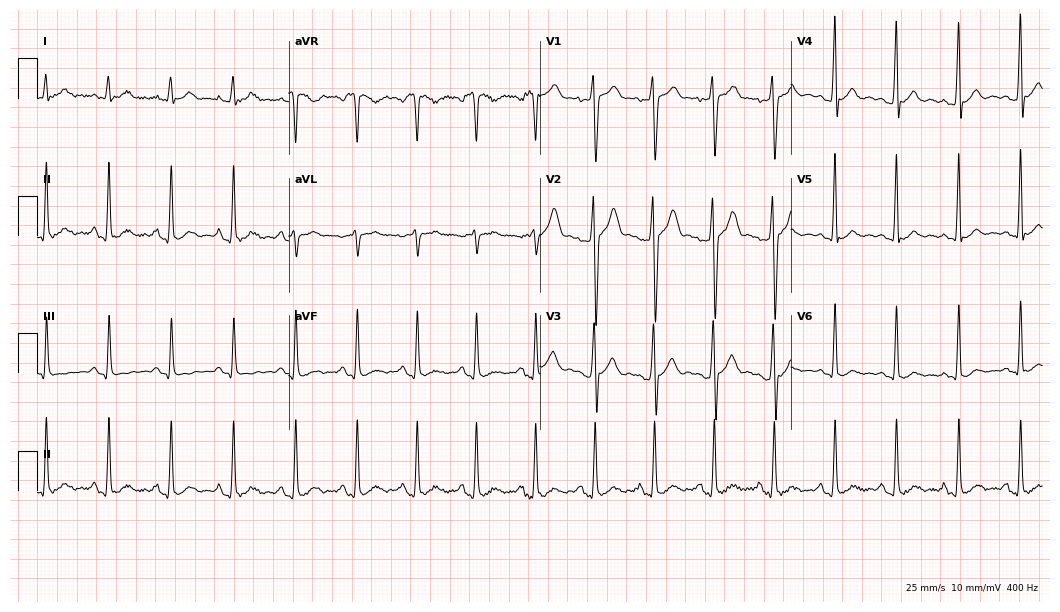
12-lead ECG from a male patient, 17 years old. No first-degree AV block, right bundle branch block, left bundle branch block, sinus bradycardia, atrial fibrillation or sinus tachycardia recorded for this tracing.